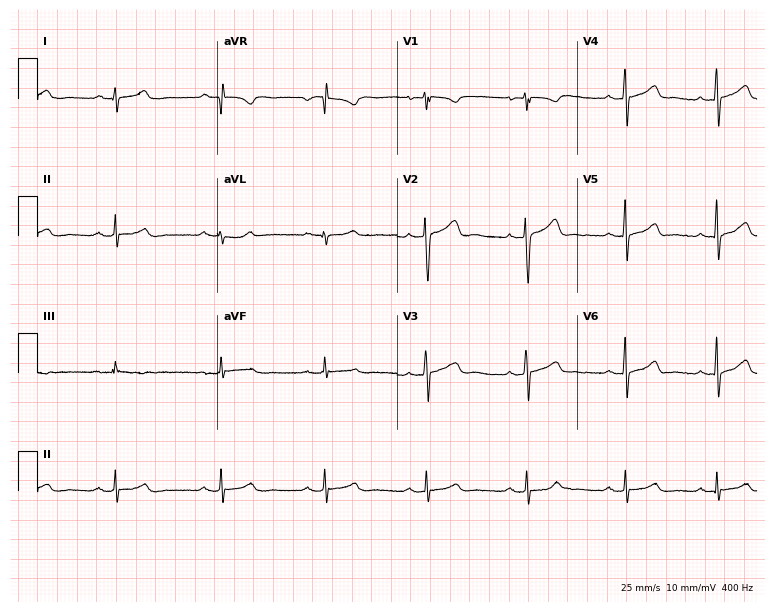
12-lead ECG from a 26-year-old woman. Screened for six findings — first-degree AV block, right bundle branch block, left bundle branch block, sinus bradycardia, atrial fibrillation, sinus tachycardia — none is recorded.